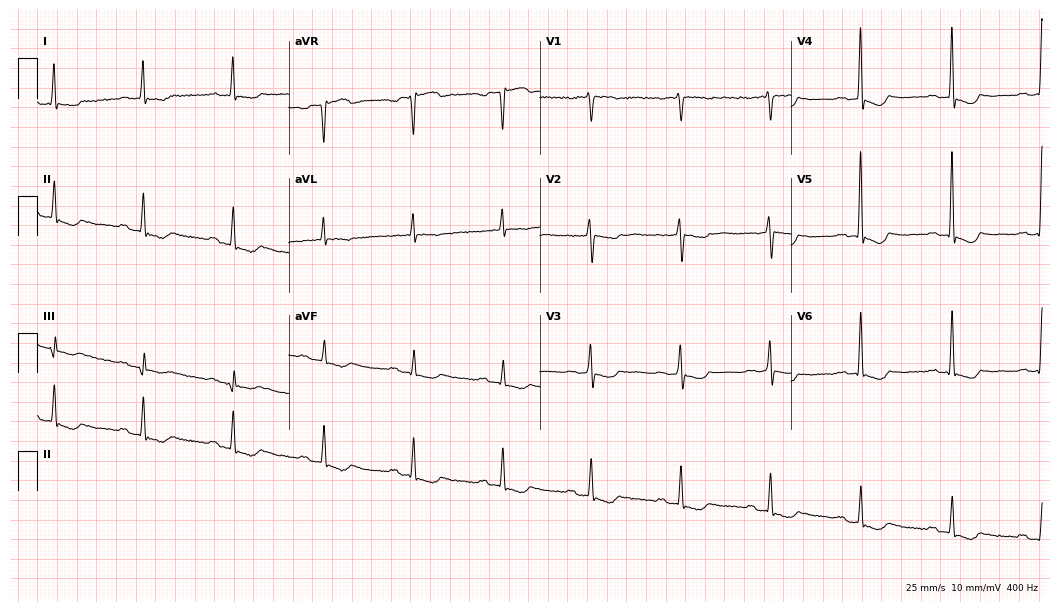
ECG (10.2-second recording at 400 Hz) — a woman, 67 years old. Findings include first-degree AV block.